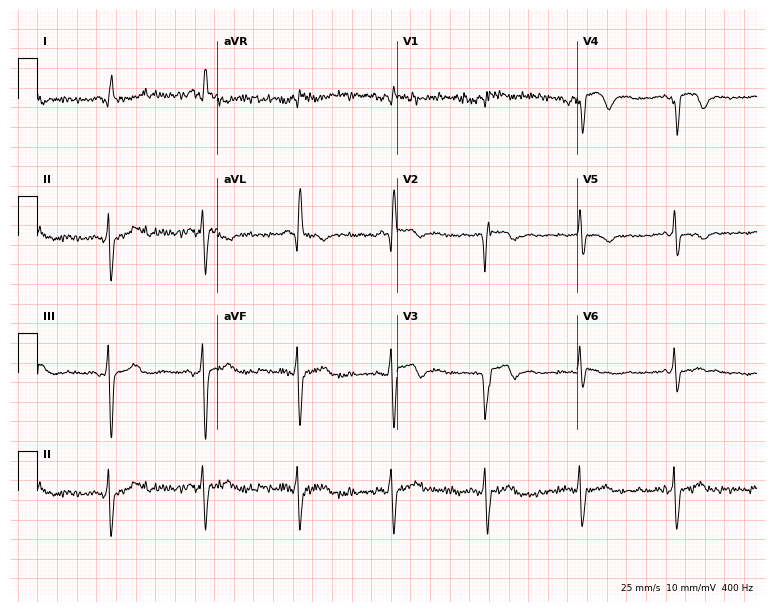
12-lead ECG from a 79-year-old male. No first-degree AV block, right bundle branch block, left bundle branch block, sinus bradycardia, atrial fibrillation or sinus tachycardia recorded for this tracing.